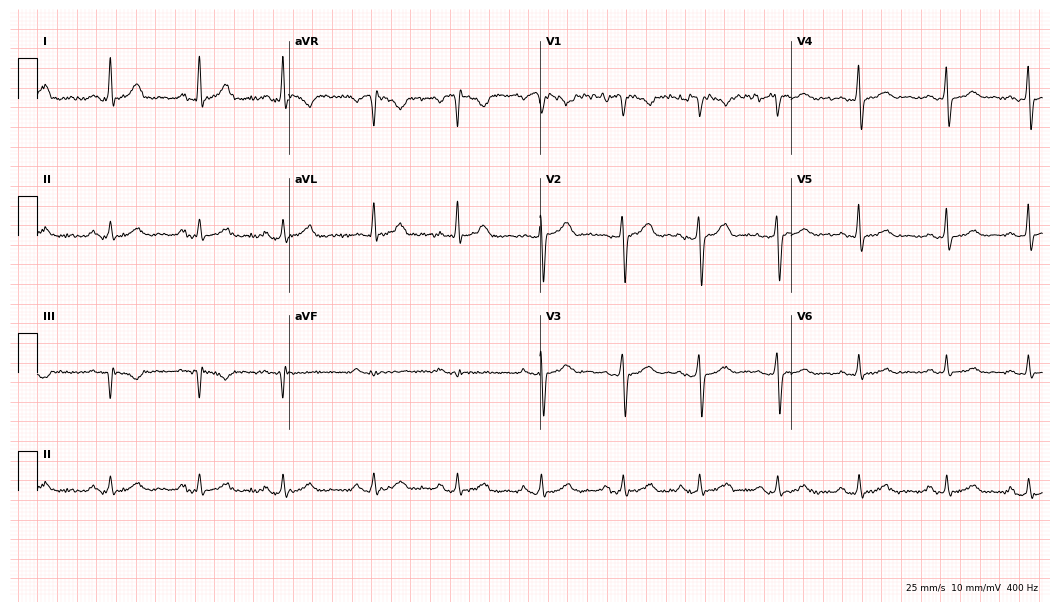
Resting 12-lead electrocardiogram. Patient: a 56-year-old male. Read as a normal ECG.